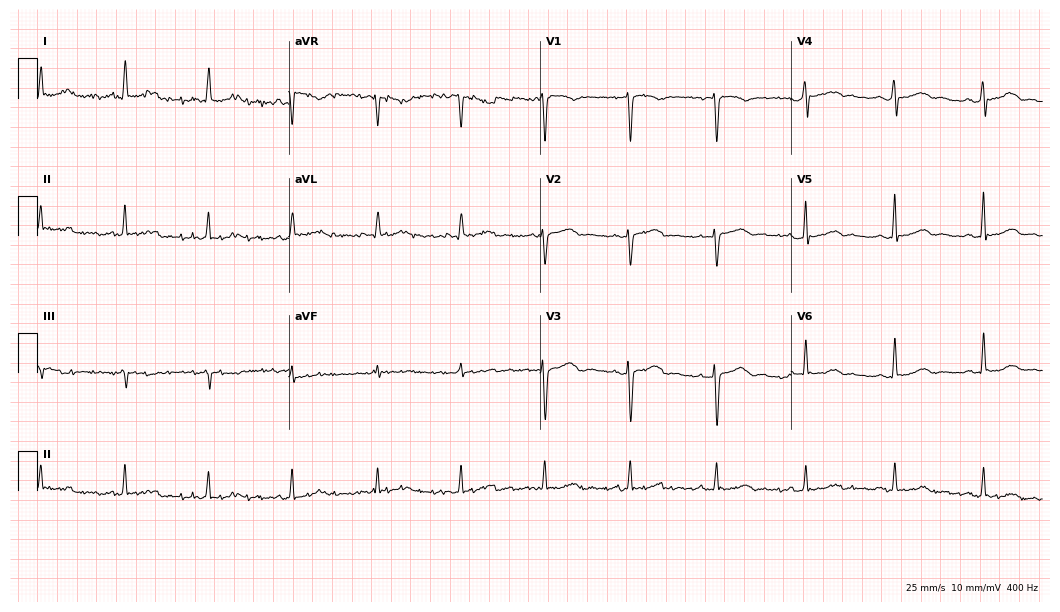
Standard 12-lead ECG recorded from a woman, 52 years old. Read as a normal ECG.